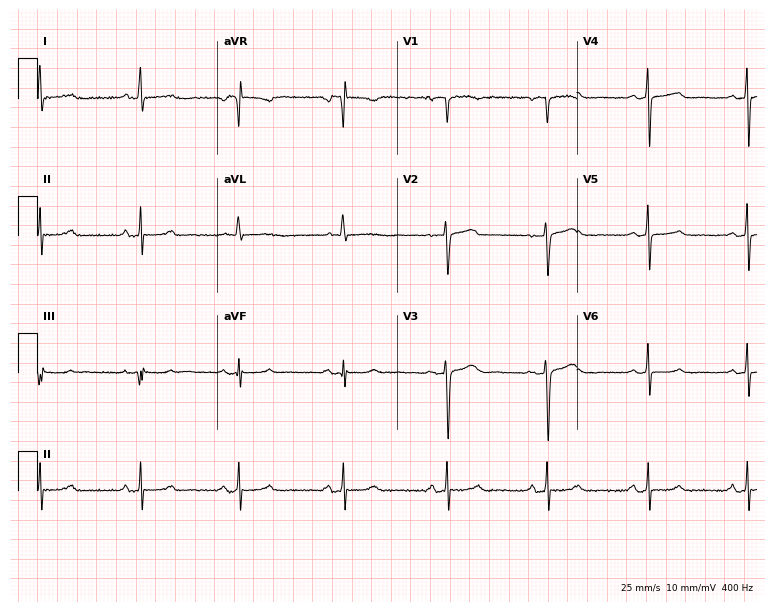
ECG — a 46-year-old female patient. Labelled as a normal ECG.